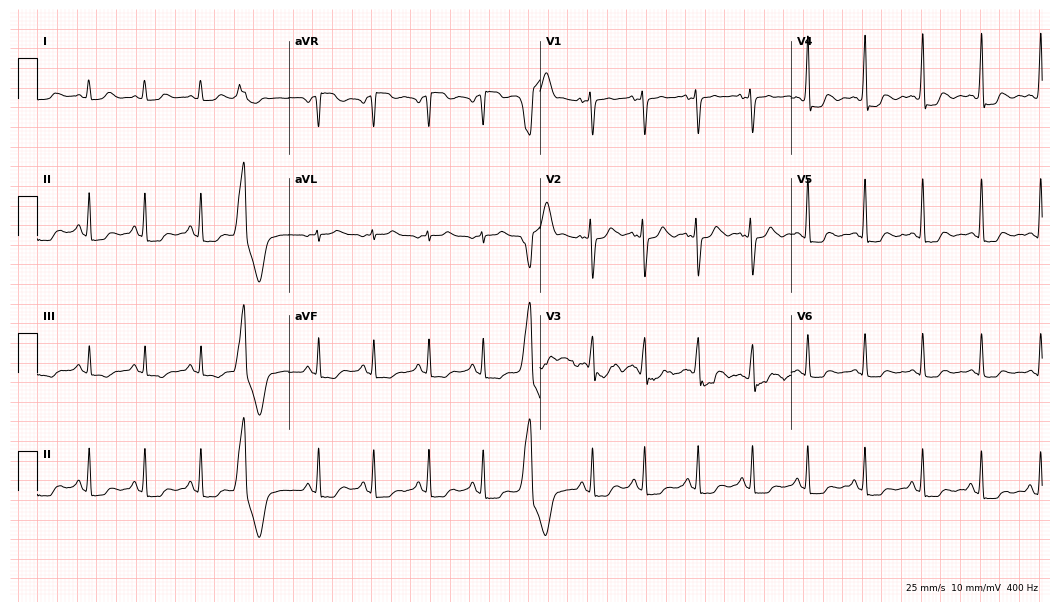
Standard 12-lead ECG recorded from a 36-year-old female (10.2-second recording at 400 Hz). The tracing shows sinus tachycardia (a sinus rate of 100 beats per minute or more).